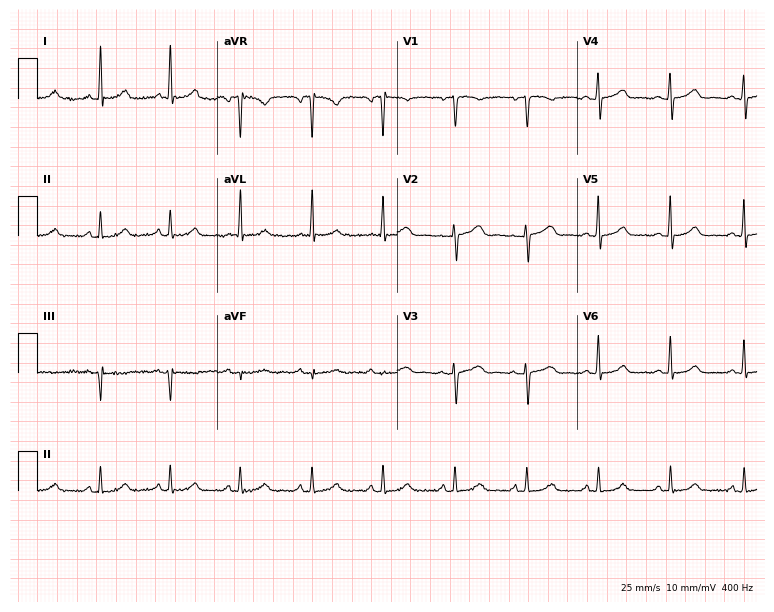
Electrocardiogram, a 59-year-old female. Overall reading on record: normal ECG.